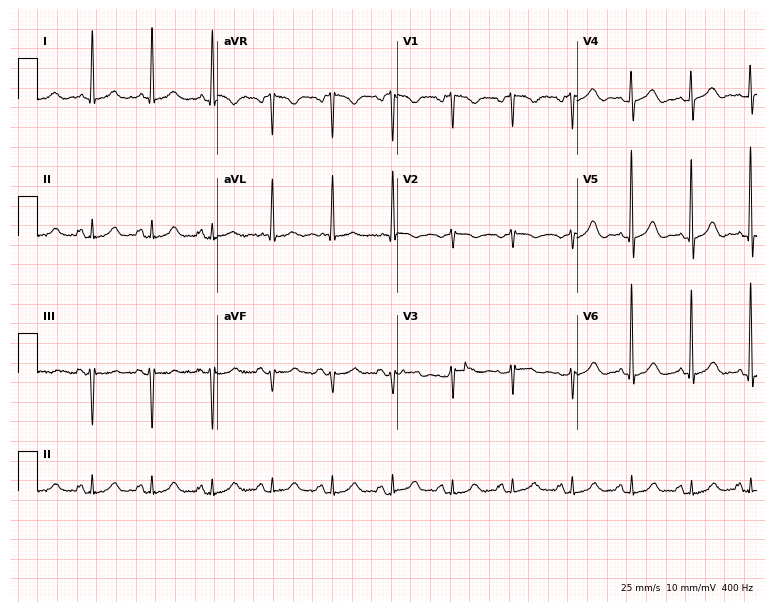
12-lead ECG from a female patient, 72 years old (7.3-second recording at 400 Hz). No first-degree AV block, right bundle branch block (RBBB), left bundle branch block (LBBB), sinus bradycardia, atrial fibrillation (AF) or sinus tachycardia recorded for this tracing. Other findings, if any, are not listed.